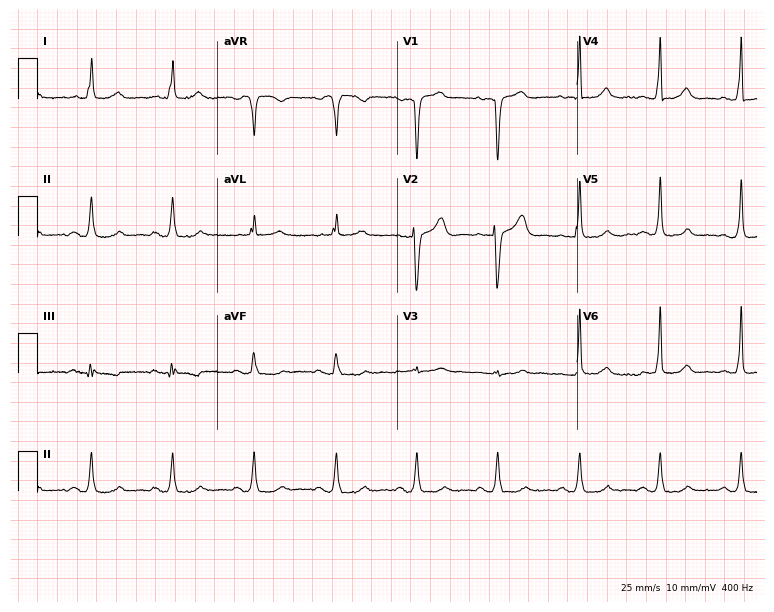
ECG — a female, 73 years old. Labelled as a normal ECG.